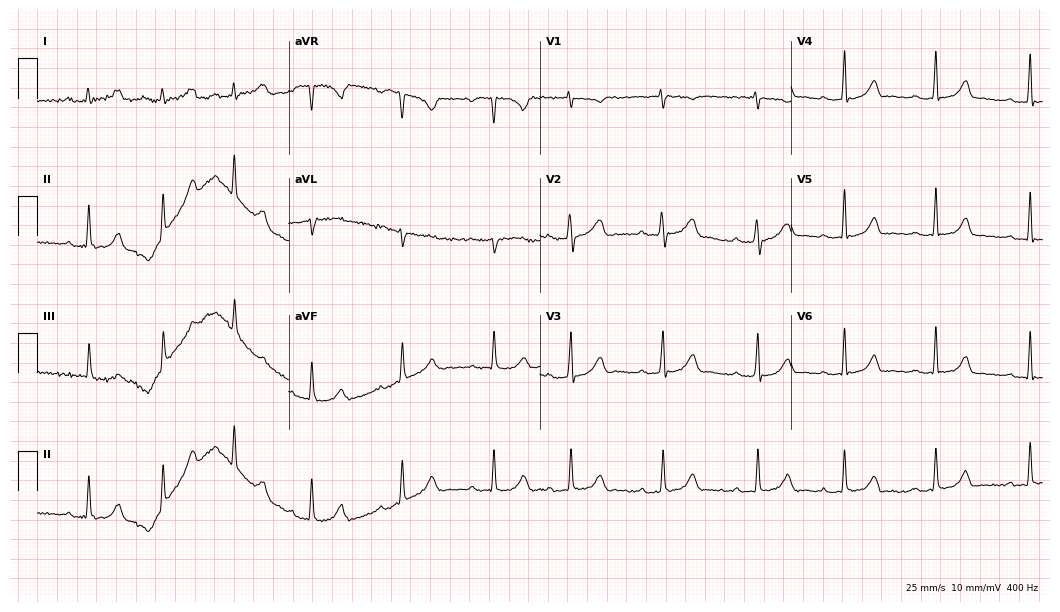
12-lead ECG from a female patient, 25 years old. Screened for six findings — first-degree AV block, right bundle branch block (RBBB), left bundle branch block (LBBB), sinus bradycardia, atrial fibrillation (AF), sinus tachycardia — none is recorded.